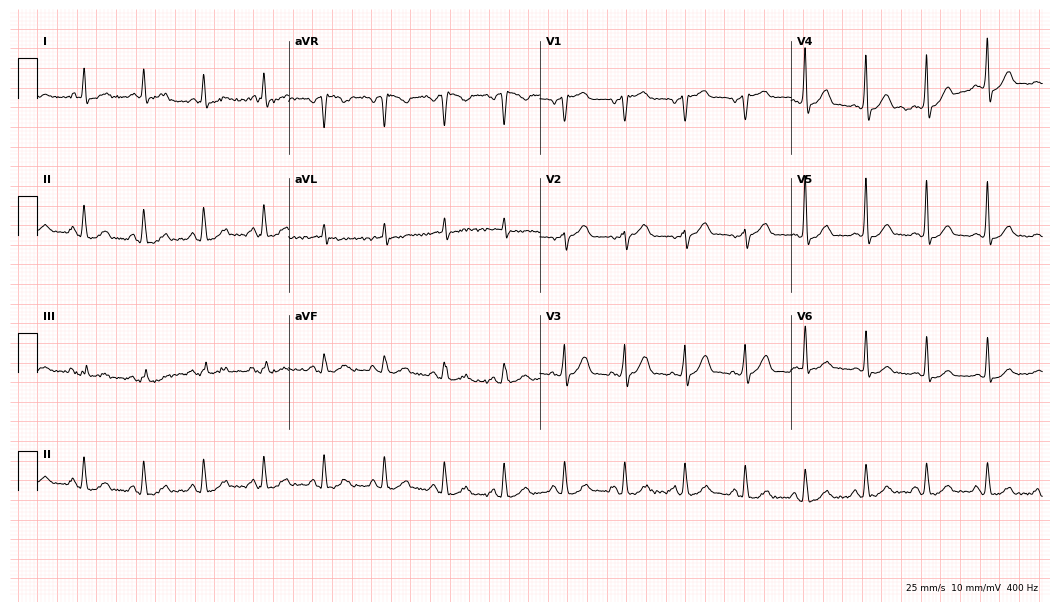
Resting 12-lead electrocardiogram. Patient: a 77-year-old man. Read as a normal ECG.